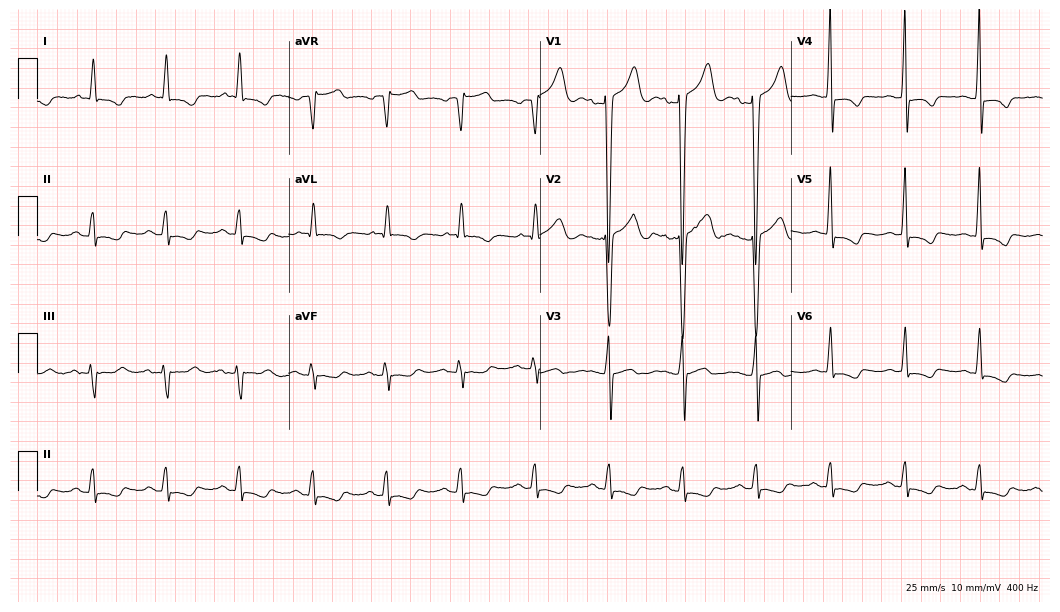
ECG — a man, 75 years old. Screened for six findings — first-degree AV block, right bundle branch block, left bundle branch block, sinus bradycardia, atrial fibrillation, sinus tachycardia — none is recorded.